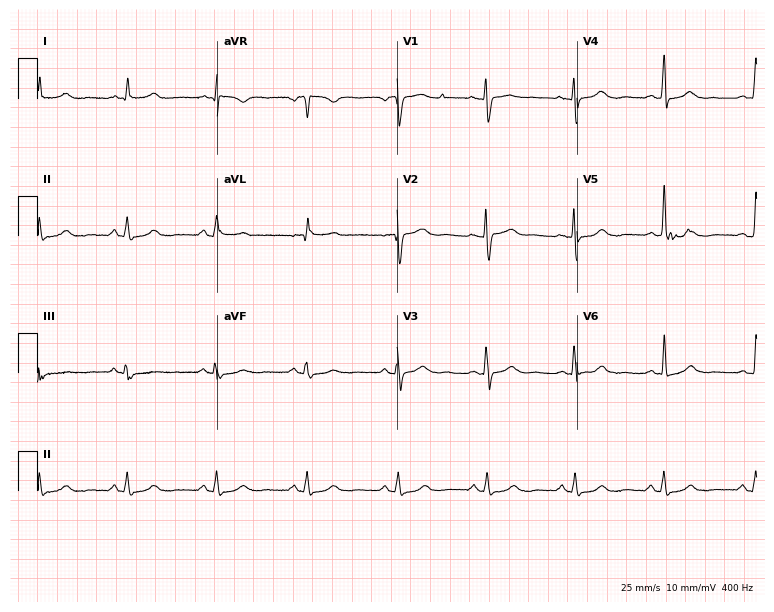
Electrocardiogram, a female patient, 52 years old. Overall reading on record: normal ECG.